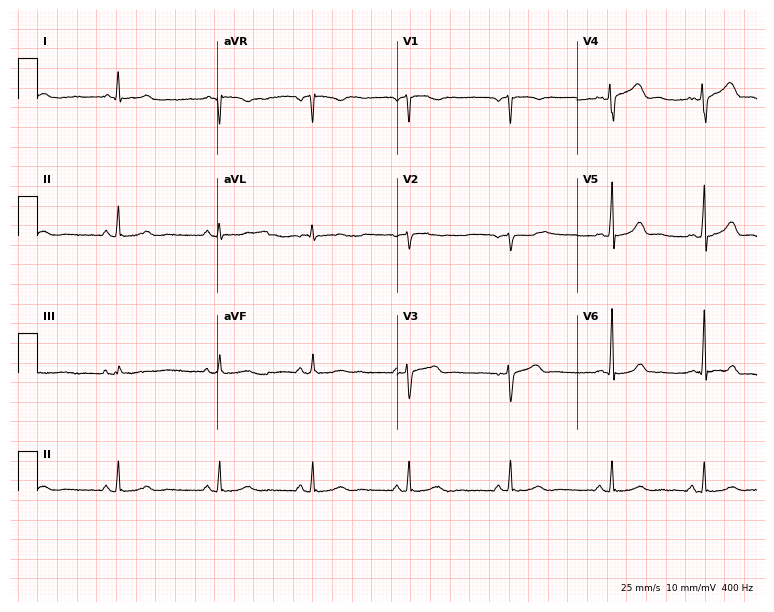
Electrocardiogram, a female patient, 29 years old. Overall reading on record: normal ECG.